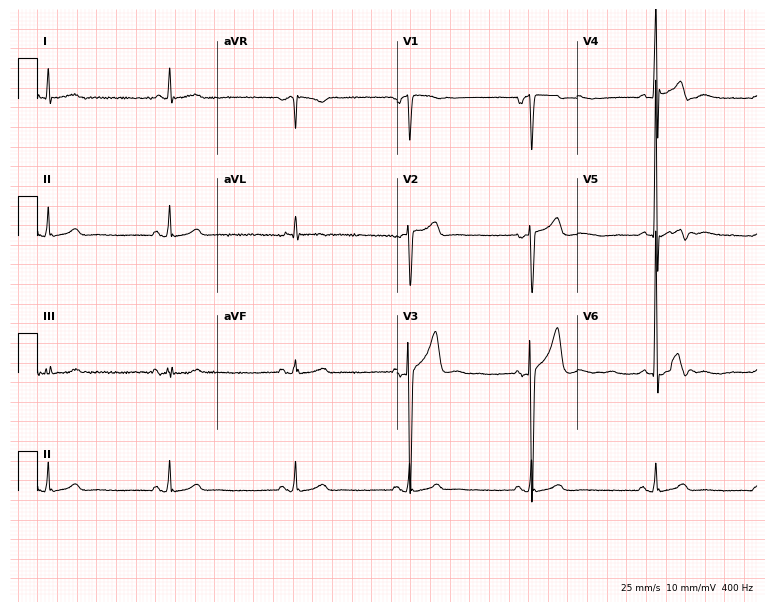
Standard 12-lead ECG recorded from a male patient, 56 years old. The tracing shows sinus bradycardia (a sinus rate of 50 beats per minute or less).